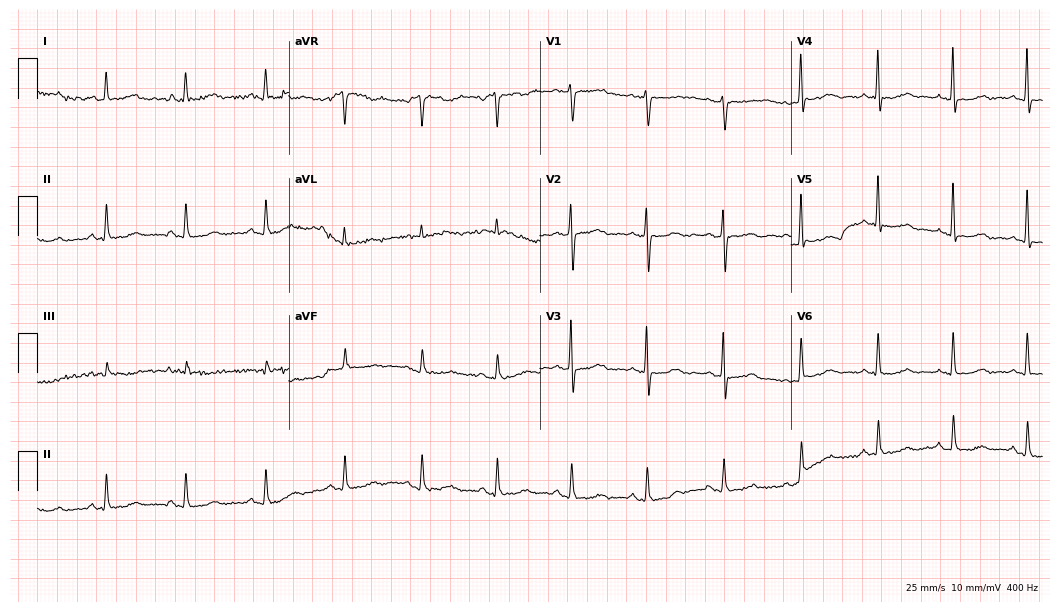
ECG — a woman, 49 years old. Screened for six findings — first-degree AV block, right bundle branch block (RBBB), left bundle branch block (LBBB), sinus bradycardia, atrial fibrillation (AF), sinus tachycardia — none is recorded.